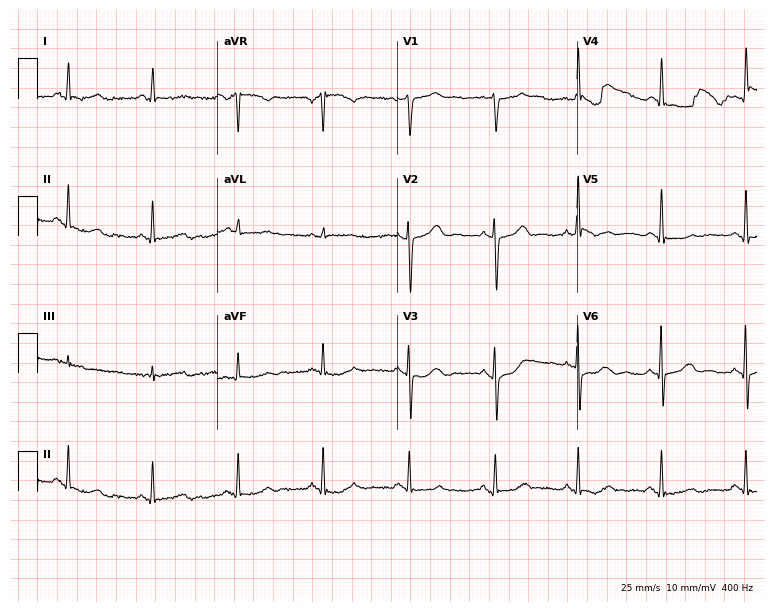
ECG — a 69-year-old female. Labelled as a normal ECG.